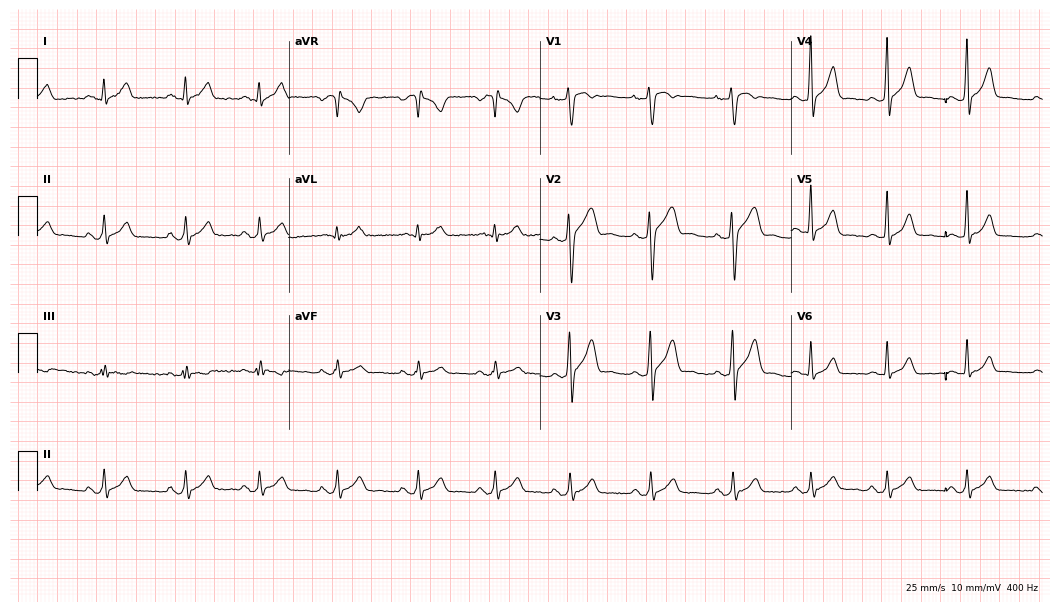
Electrocardiogram (10.2-second recording at 400 Hz), a 20-year-old male. Of the six screened findings (first-degree AV block, right bundle branch block, left bundle branch block, sinus bradycardia, atrial fibrillation, sinus tachycardia), none is recorded. Findings outside these six are not listed.